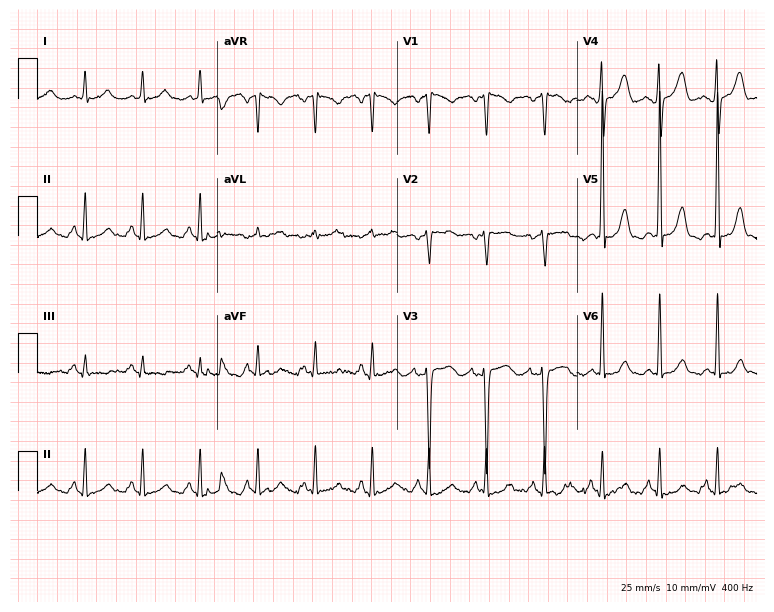
12-lead ECG from a 46-year-old female. Screened for six findings — first-degree AV block, right bundle branch block, left bundle branch block, sinus bradycardia, atrial fibrillation, sinus tachycardia — none is recorded.